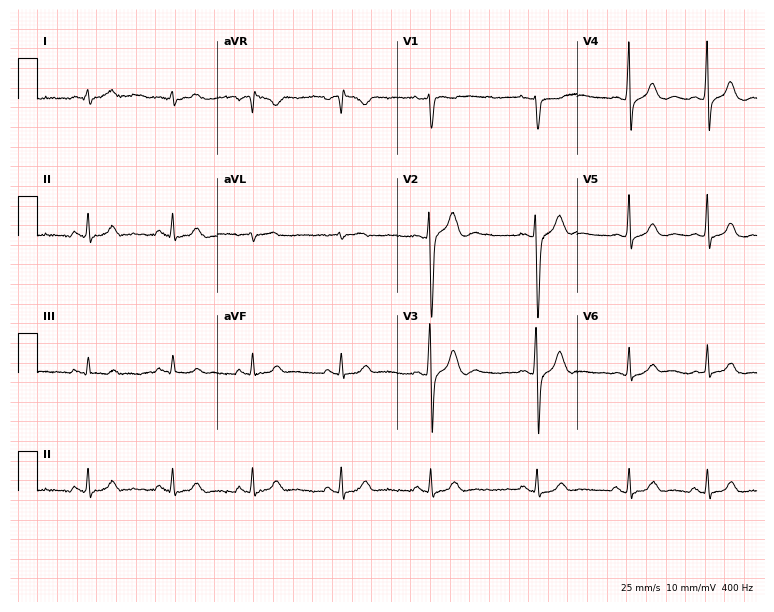
Electrocardiogram (7.3-second recording at 400 Hz), a 54-year-old male patient. Overall reading on record: normal ECG.